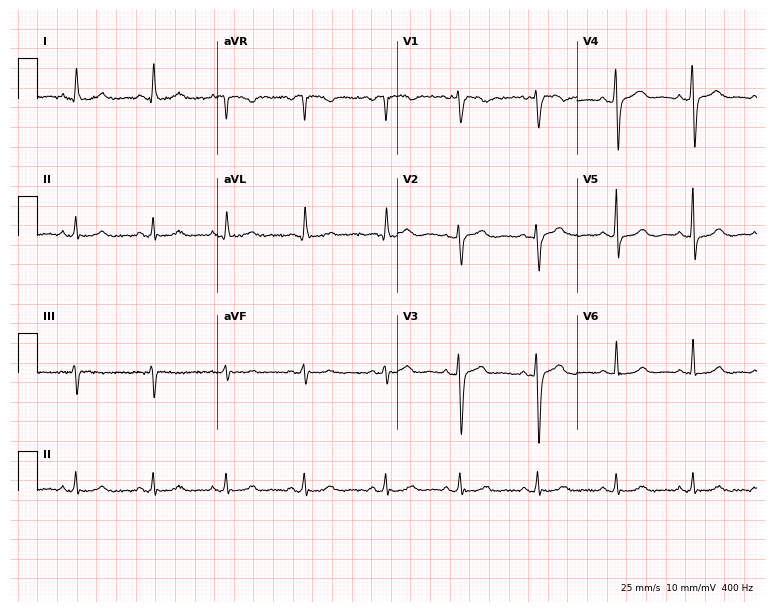
Resting 12-lead electrocardiogram. Patient: a 44-year-old female. None of these six findings is recorded: first-degree AV block, right bundle branch block, left bundle branch block, sinus bradycardia, atrial fibrillation, sinus tachycardia.